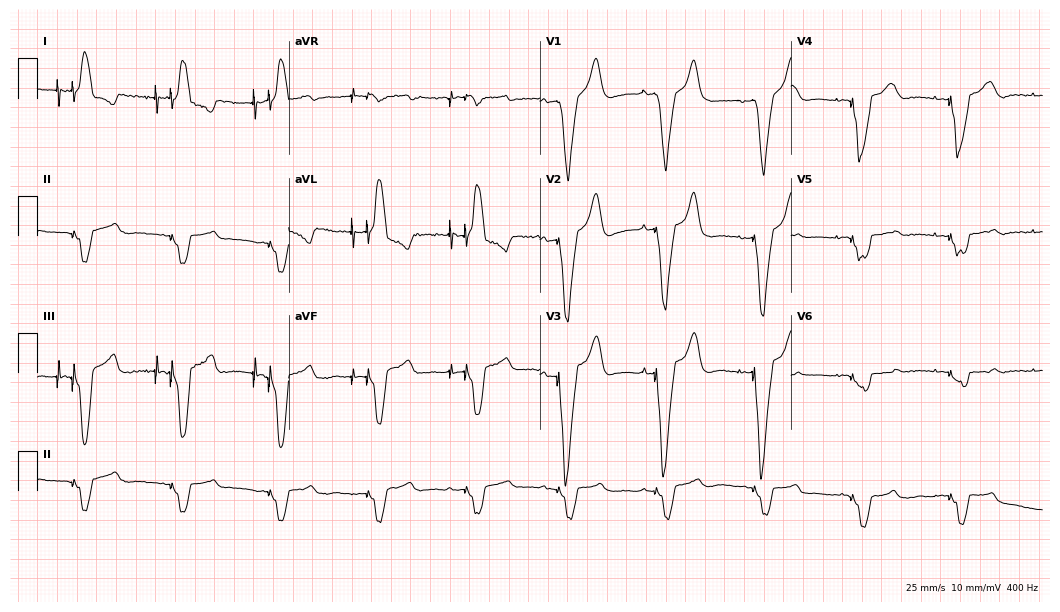
12-lead ECG (10.2-second recording at 400 Hz) from a 76-year-old woman. Screened for six findings — first-degree AV block, right bundle branch block, left bundle branch block, sinus bradycardia, atrial fibrillation, sinus tachycardia — none is recorded.